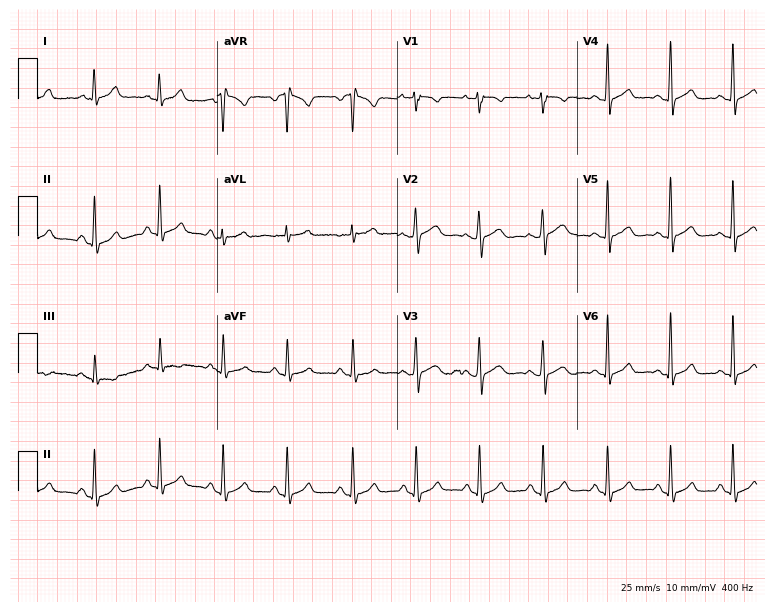
Electrocardiogram (7.3-second recording at 400 Hz), a woman, 32 years old. Of the six screened findings (first-degree AV block, right bundle branch block, left bundle branch block, sinus bradycardia, atrial fibrillation, sinus tachycardia), none is recorded.